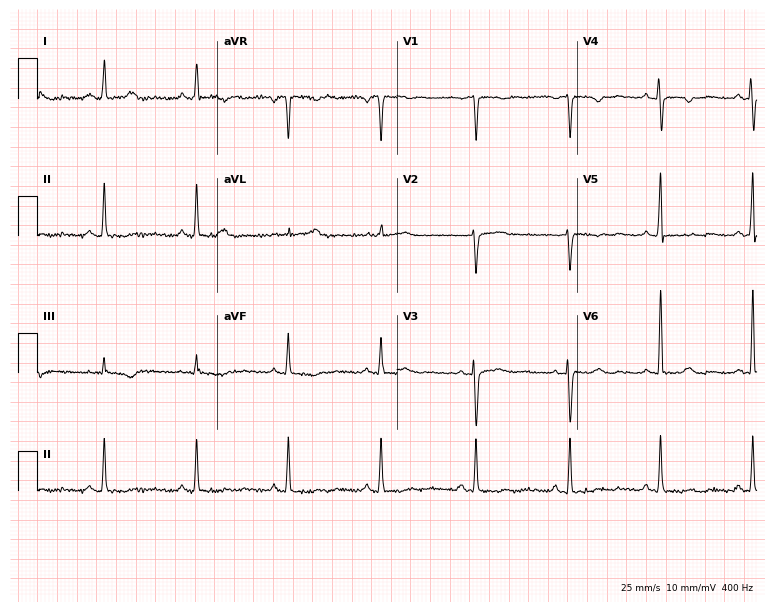
12-lead ECG (7.3-second recording at 400 Hz) from a 34-year-old woman. Screened for six findings — first-degree AV block, right bundle branch block, left bundle branch block, sinus bradycardia, atrial fibrillation, sinus tachycardia — none is recorded.